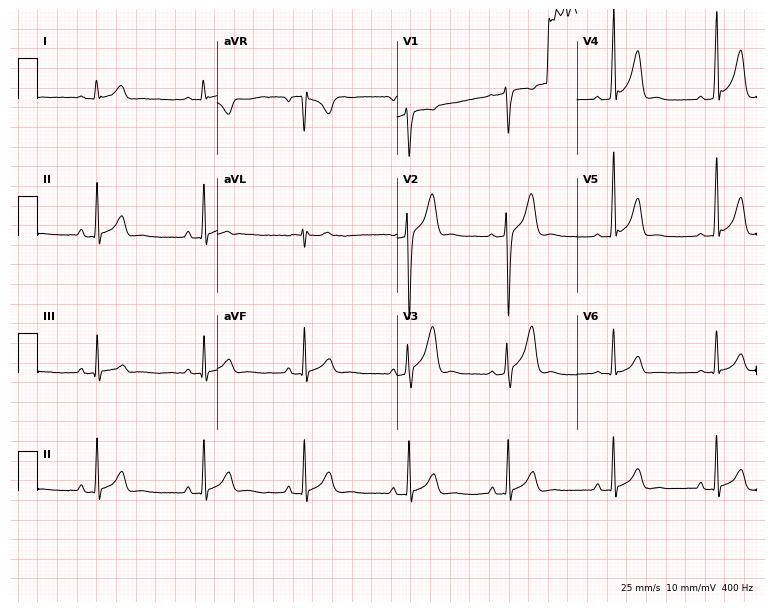
12-lead ECG (7.3-second recording at 400 Hz) from a male, 33 years old. Screened for six findings — first-degree AV block, right bundle branch block (RBBB), left bundle branch block (LBBB), sinus bradycardia, atrial fibrillation (AF), sinus tachycardia — none is recorded.